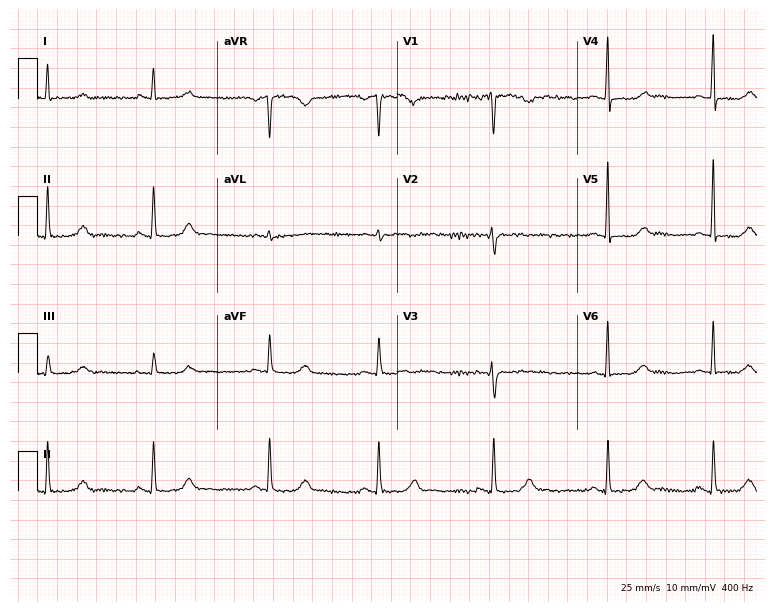
ECG — a female patient, 50 years old. Labelled as a normal ECG.